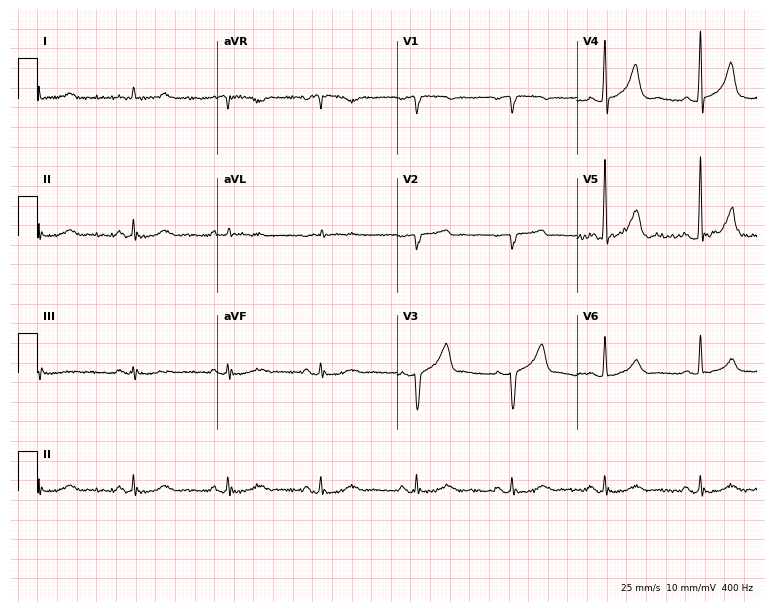
Standard 12-lead ECG recorded from a male patient, 85 years old (7.3-second recording at 400 Hz). Read as a normal ECG.